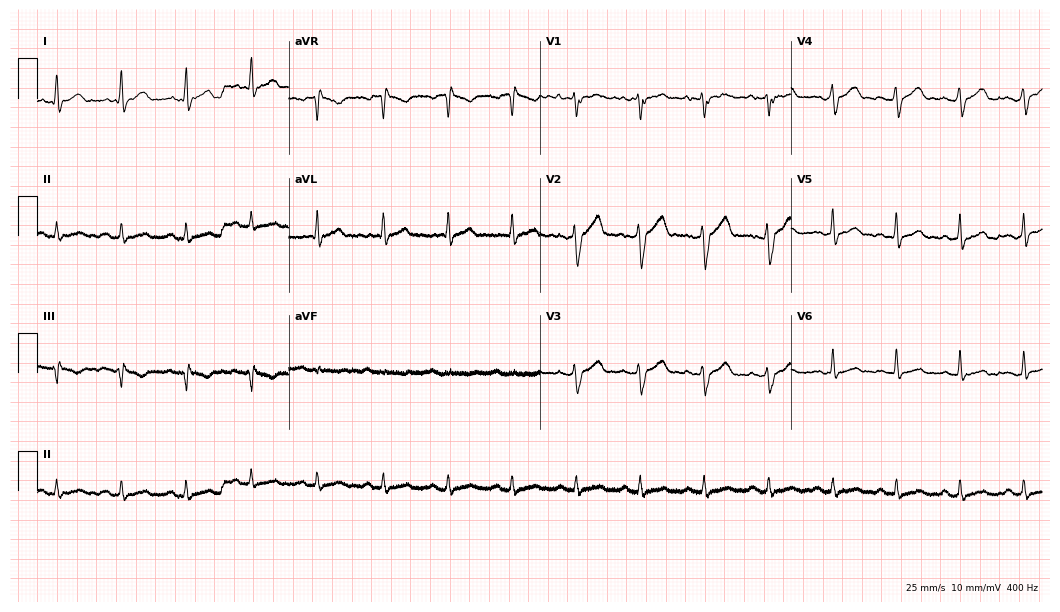
Electrocardiogram, a 21-year-old male patient. Of the six screened findings (first-degree AV block, right bundle branch block (RBBB), left bundle branch block (LBBB), sinus bradycardia, atrial fibrillation (AF), sinus tachycardia), none is recorded.